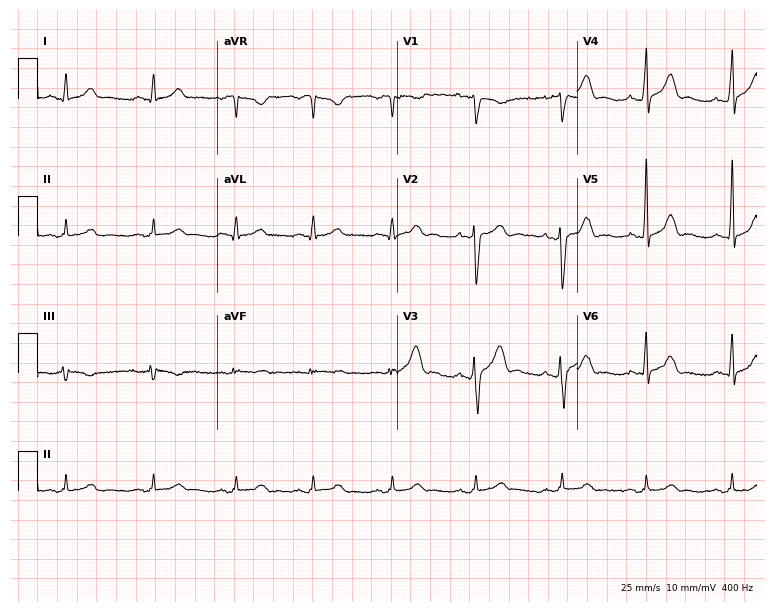
12-lead ECG from a 42-year-old male patient. Screened for six findings — first-degree AV block, right bundle branch block (RBBB), left bundle branch block (LBBB), sinus bradycardia, atrial fibrillation (AF), sinus tachycardia — none is recorded. Findings outside these six are not listed.